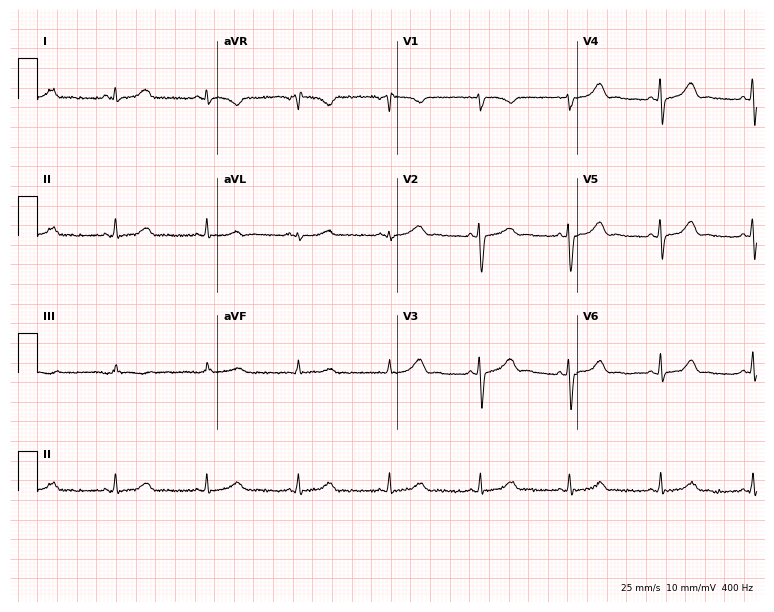
Standard 12-lead ECG recorded from a 44-year-old woman. Read as a normal ECG.